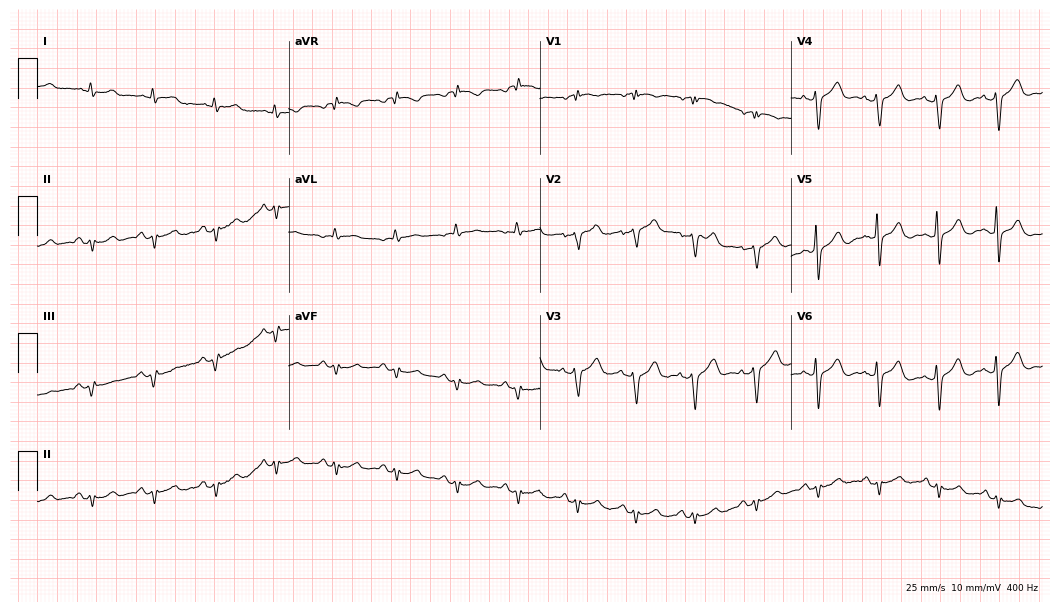
Standard 12-lead ECG recorded from a 74-year-old male patient. None of these six findings is recorded: first-degree AV block, right bundle branch block (RBBB), left bundle branch block (LBBB), sinus bradycardia, atrial fibrillation (AF), sinus tachycardia.